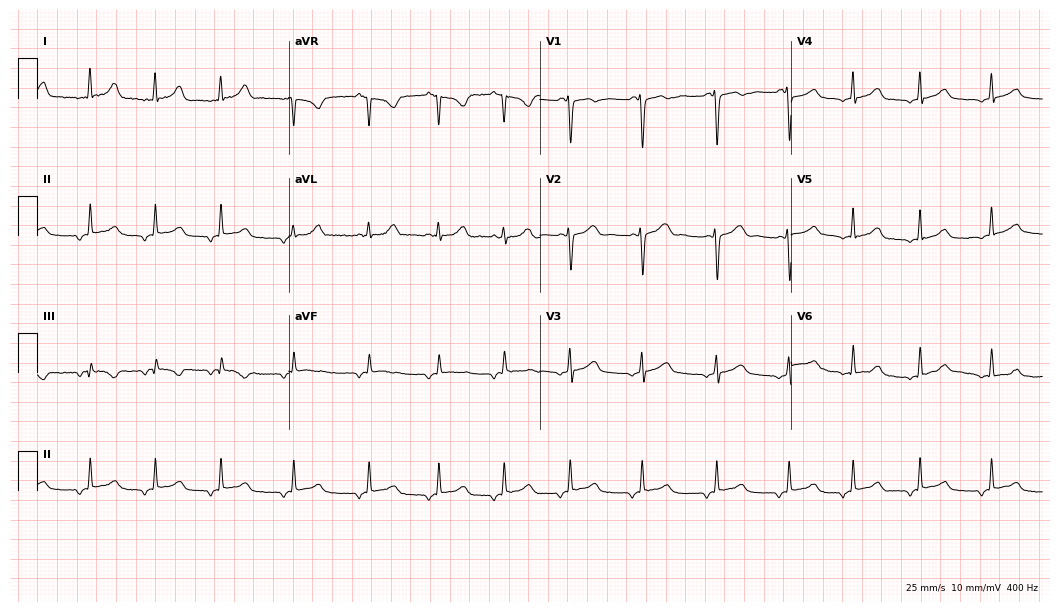
Resting 12-lead electrocardiogram (10.2-second recording at 400 Hz). Patient: a female, 21 years old. None of these six findings is recorded: first-degree AV block, right bundle branch block, left bundle branch block, sinus bradycardia, atrial fibrillation, sinus tachycardia. Only these six findings were labelled.